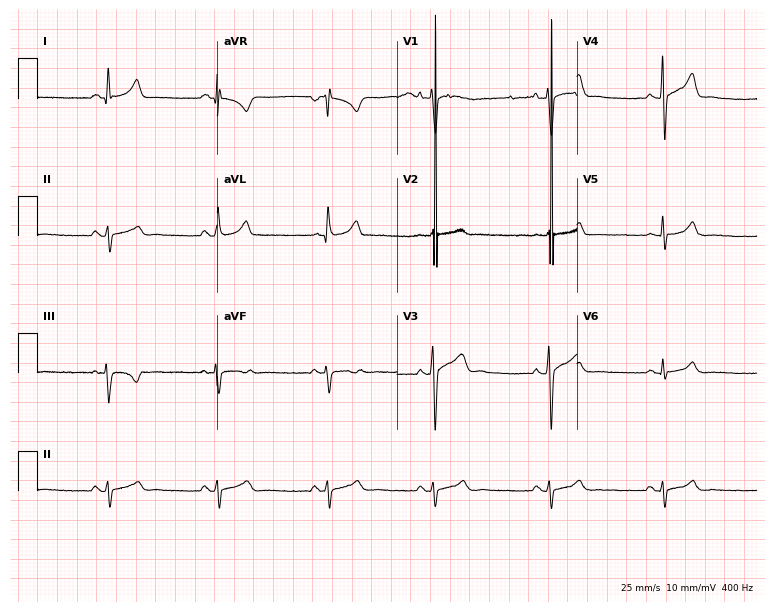
12-lead ECG from a 32-year-old male patient. No first-degree AV block, right bundle branch block, left bundle branch block, sinus bradycardia, atrial fibrillation or sinus tachycardia recorded for this tracing.